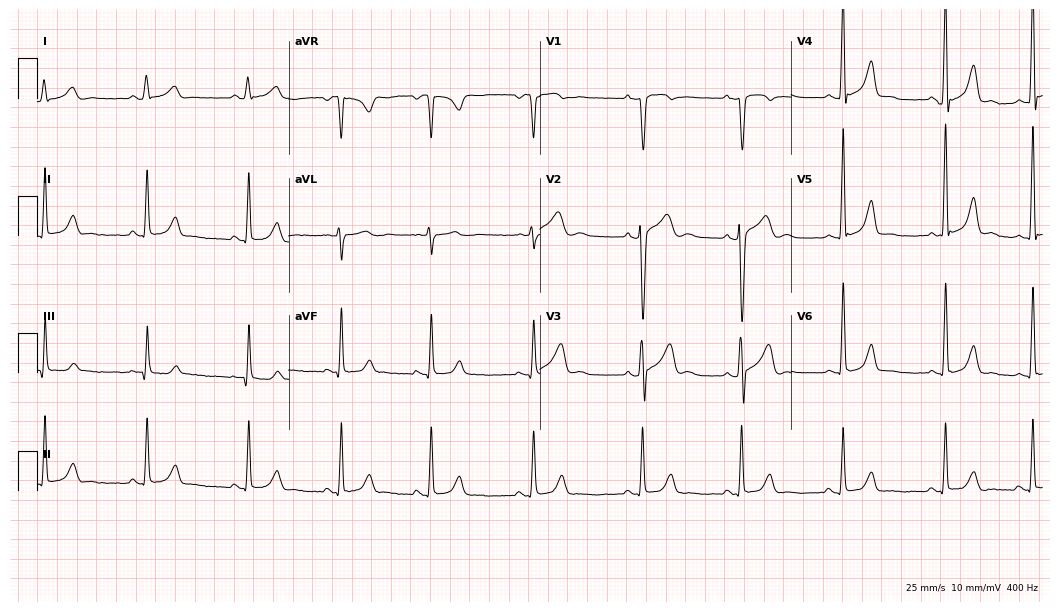
Standard 12-lead ECG recorded from a female, 26 years old (10.2-second recording at 400 Hz). Read as a normal ECG.